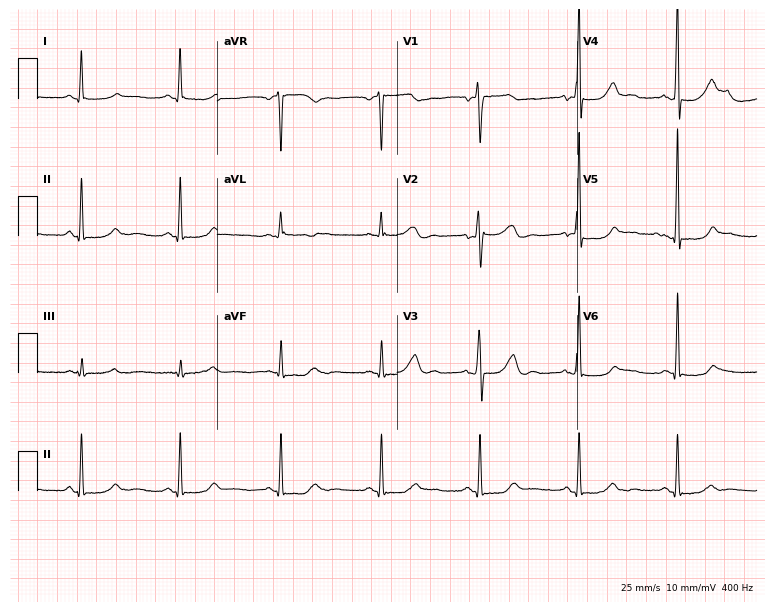
12-lead ECG from a female, 56 years old. Recorded interpretation: within normal limits.